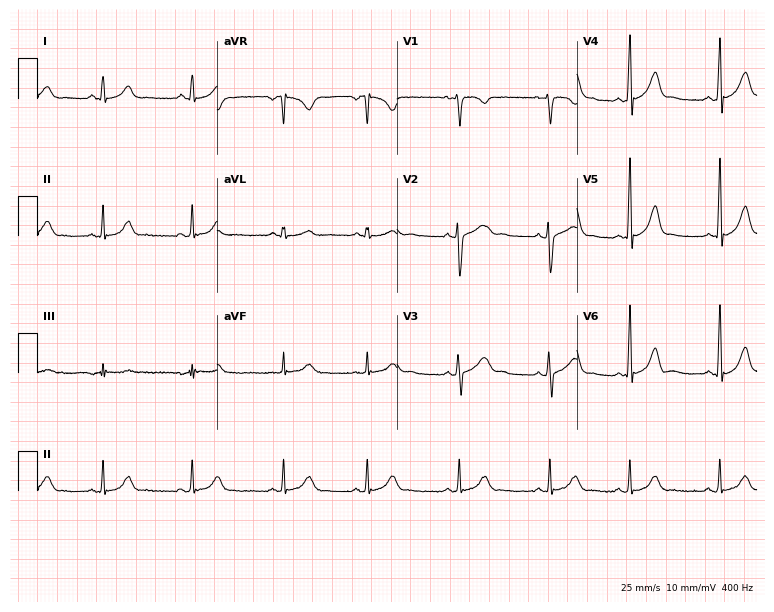
Standard 12-lead ECG recorded from a 20-year-old female (7.3-second recording at 400 Hz). Read as a normal ECG.